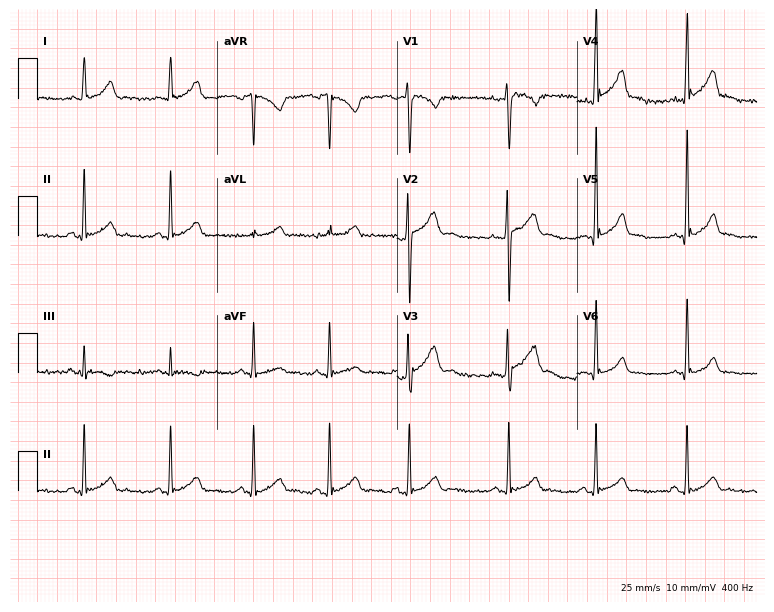
Standard 12-lead ECG recorded from a 23-year-old man. Read as a normal ECG.